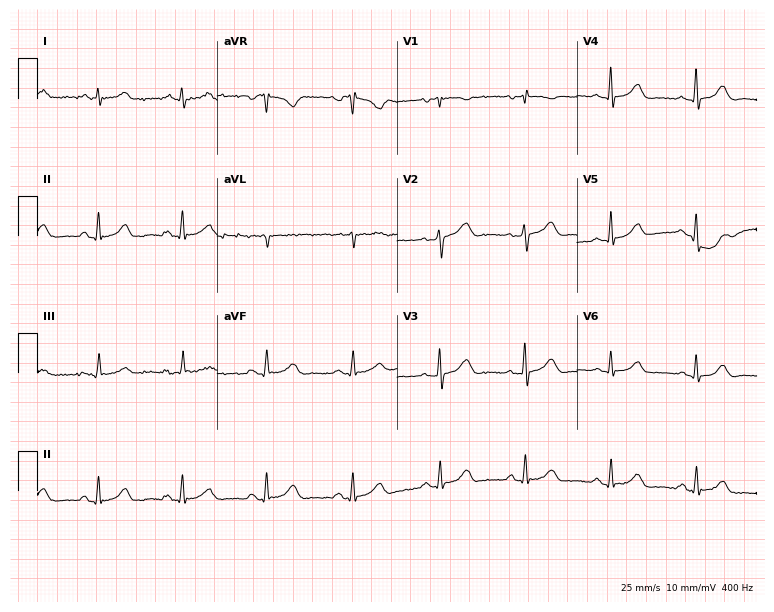
ECG (7.3-second recording at 400 Hz) — a 60-year-old female. Screened for six findings — first-degree AV block, right bundle branch block, left bundle branch block, sinus bradycardia, atrial fibrillation, sinus tachycardia — none is recorded.